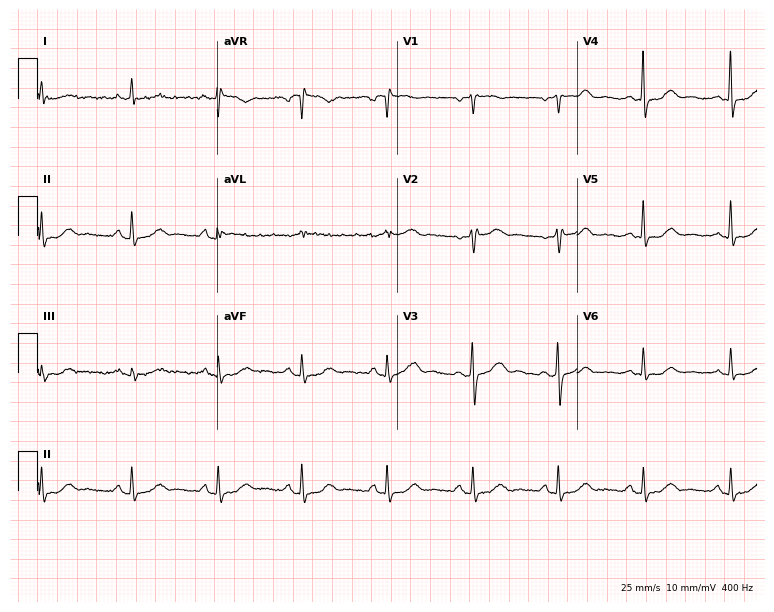
Electrocardiogram, a 55-year-old woman. Of the six screened findings (first-degree AV block, right bundle branch block (RBBB), left bundle branch block (LBBB), sinus bradycardia, atrial fibrillation (AF), sinus tachycardia), none is recorded.